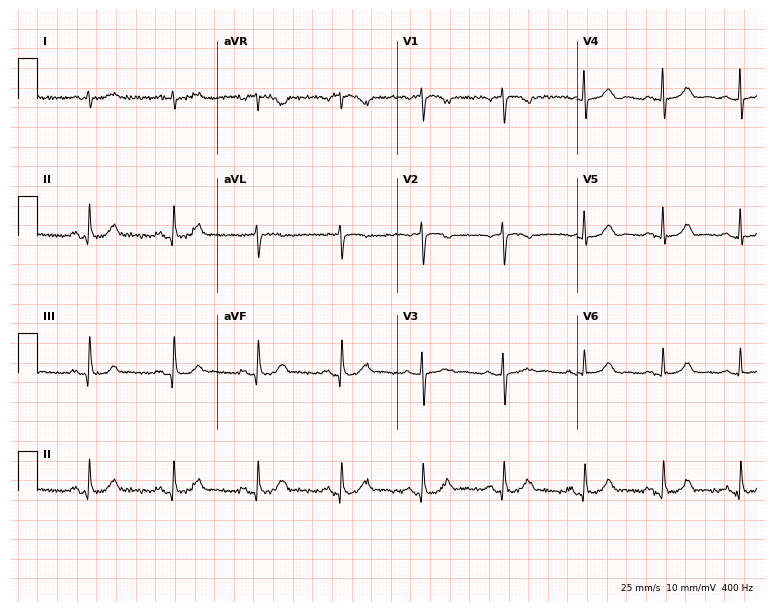
Resting 12-lead electrocardiogram (7.3-second recording at 400 Hz). Patient: a 72-year-old female. Read as a normal ECG.